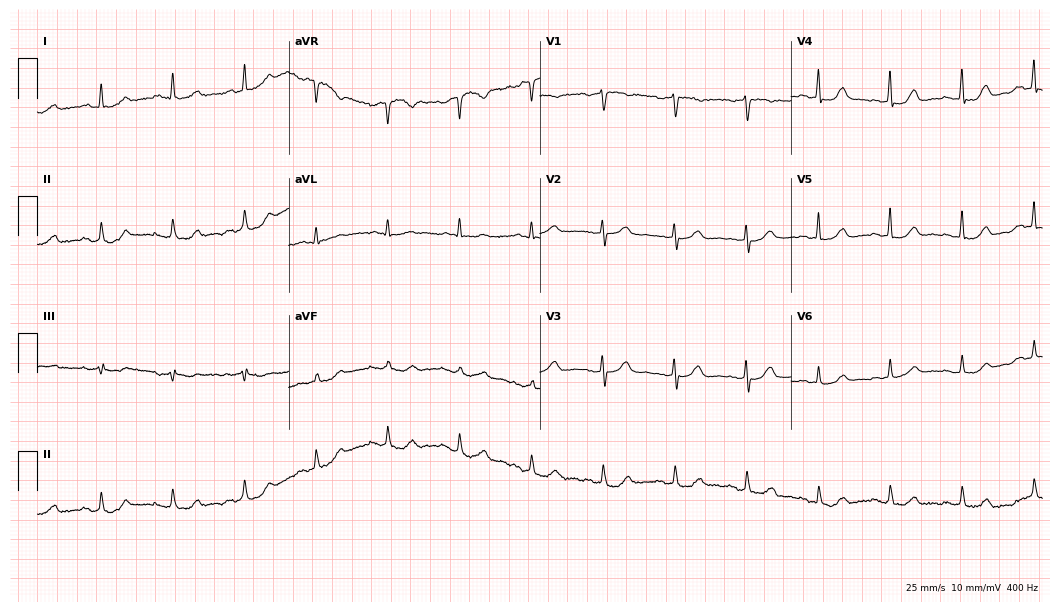
ECG (10.2-second recording at 400 Hz) — a 79-year-old female patient. Labelled as a normal ECG.